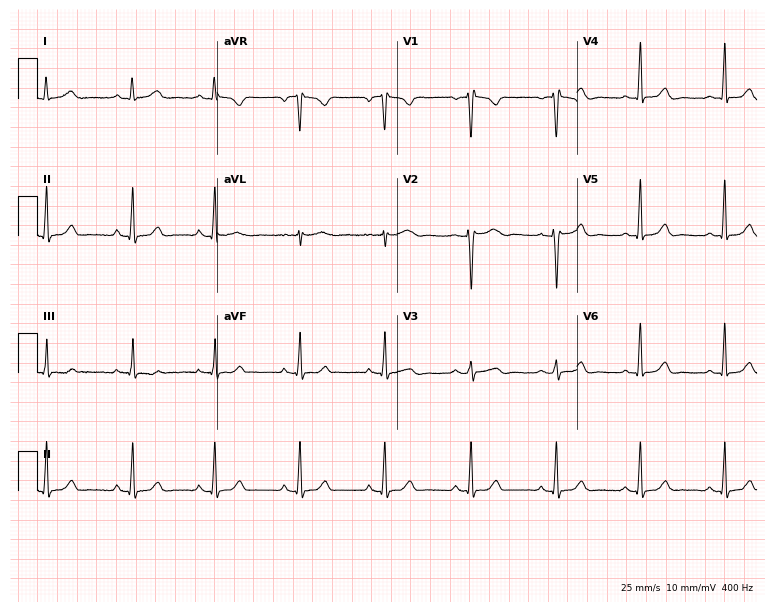
Standard 12-lead ECG recorded from a female, 27 years old (7.3-second recording at 400 Hz). None of these six findings is recorded: first-degree AV block, right bundle branch block, left bundle branch block, sinus bradycardia, atrial fibrillation, sinus tachycardia. Findings outside these six are not listed.